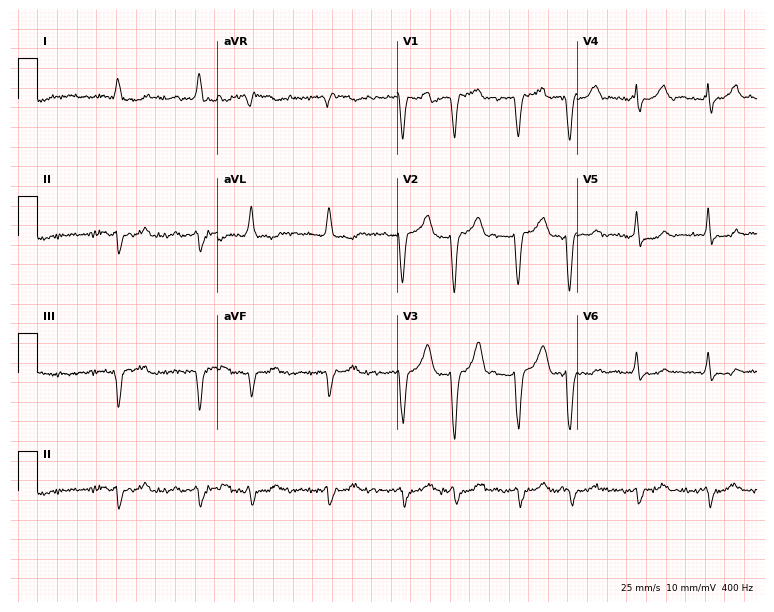
Resting 12-lead electrocardiogram (7.3-second recording at 400 Hz). Patient: a male, 23 years old. None of these six findings is recorded: first-degree AV block, right bundle branch block, left bundle branch block, sinus bradycardia, atrial fibrillation, sinus tachycardia. Findings outside these six are not listed.